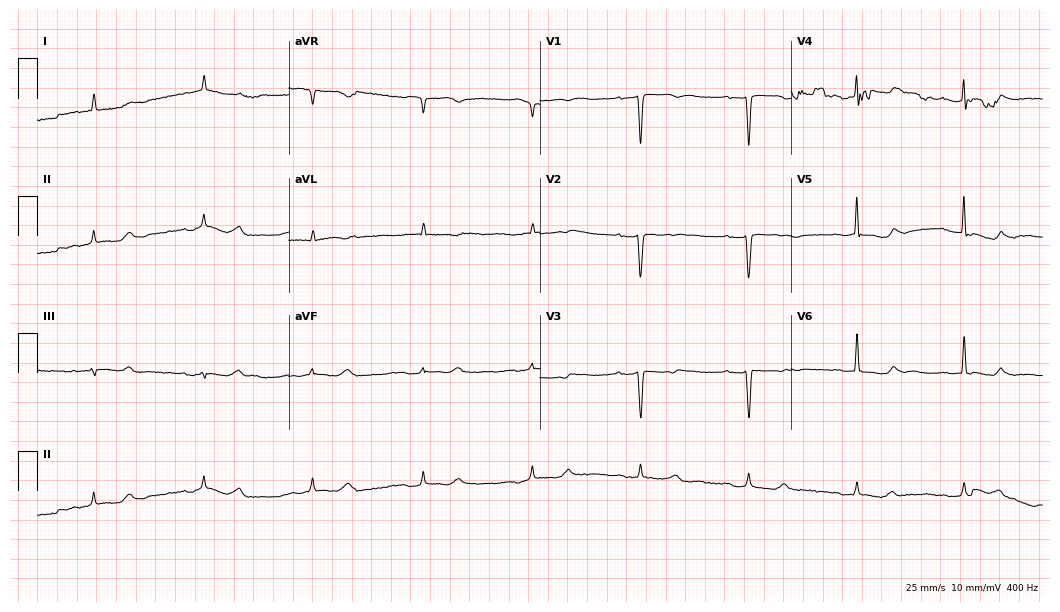
12-lead ECG from a man, 84 years old. No first-degree AV block, right bundle branch block (RBBB), left bundle branch block (LBBB), sinus bradycardia, atrial fibrillation (AF) or sinus tachycardia recorded for this tracing. Findings outside these six are not listed.